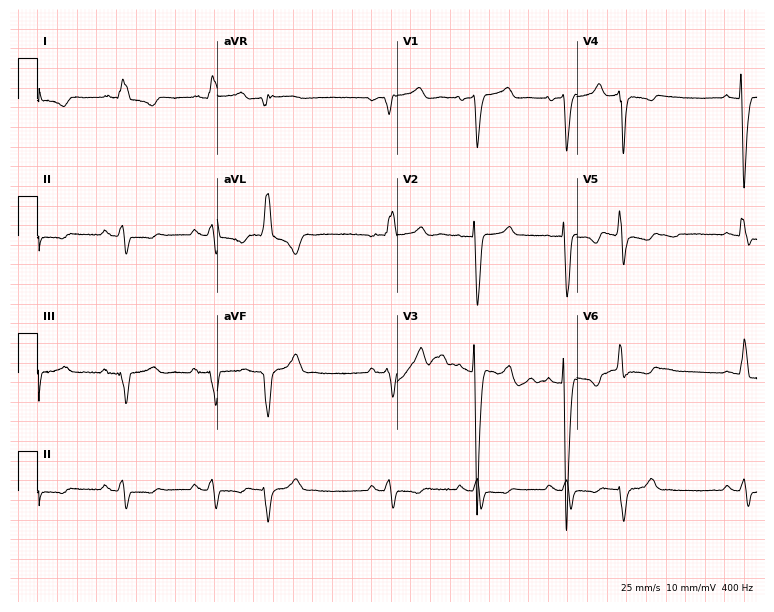
Electrocardiogram (7.3-second recording at 400 Hz), an 85-year-old female. Of the six screened findings (first-degree AV block, right bundle branch block, left bundle branch block, sinus bradycardia, atrial fibrillation, sinus tachycardia), none is recorded.